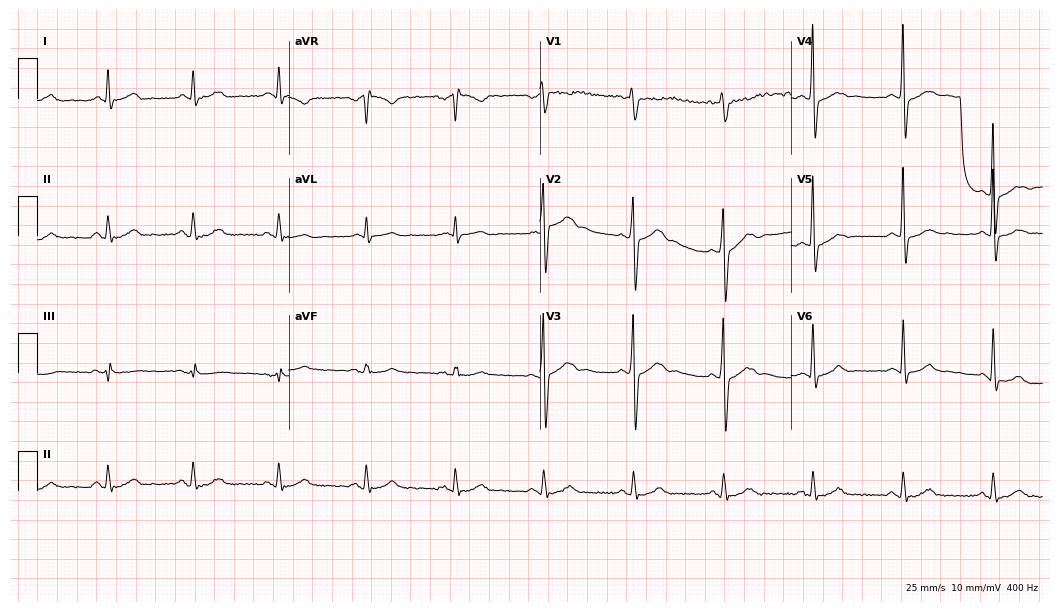
Resting 12-lead electrocardiogram (10.2-second recording at 400 Hz). Patient: a man, 43 years old. None of these six findings is recorded: first-degree AV block, right bundle branch block (RBBB), left bundle branch block (LBBB), sinus bradycardia, atrial fibrillation (AF), sinus tachycardia. Findings outside these six are not listed.